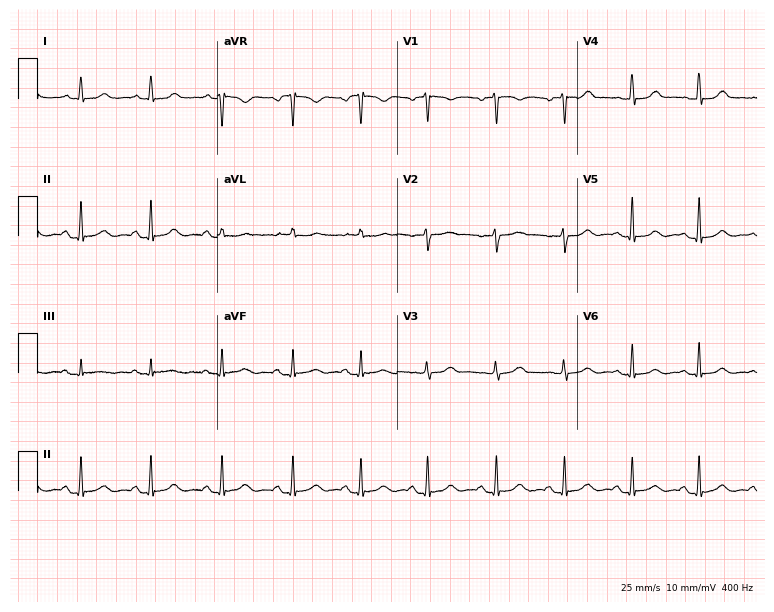
Electrocardiogram, a 50-year-old female. Of the six screened findings (first-degree AV block, right bundle branch block, left bundle branch block, sinus bradycardia, atrial fibrillation, sinus tachycardia), none is recorded. Findings outside these six are not listed.